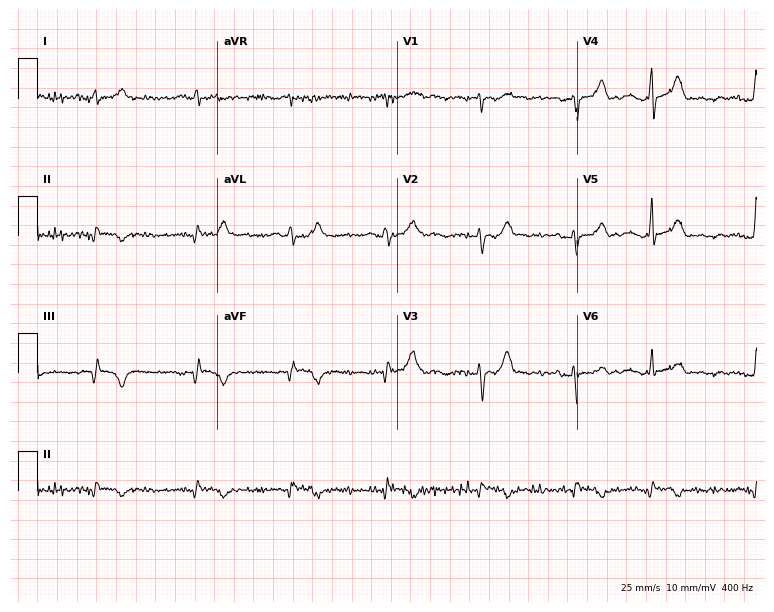
Electrocardiogram, a man, 58 years old. Overall reading on record: normal ECG.